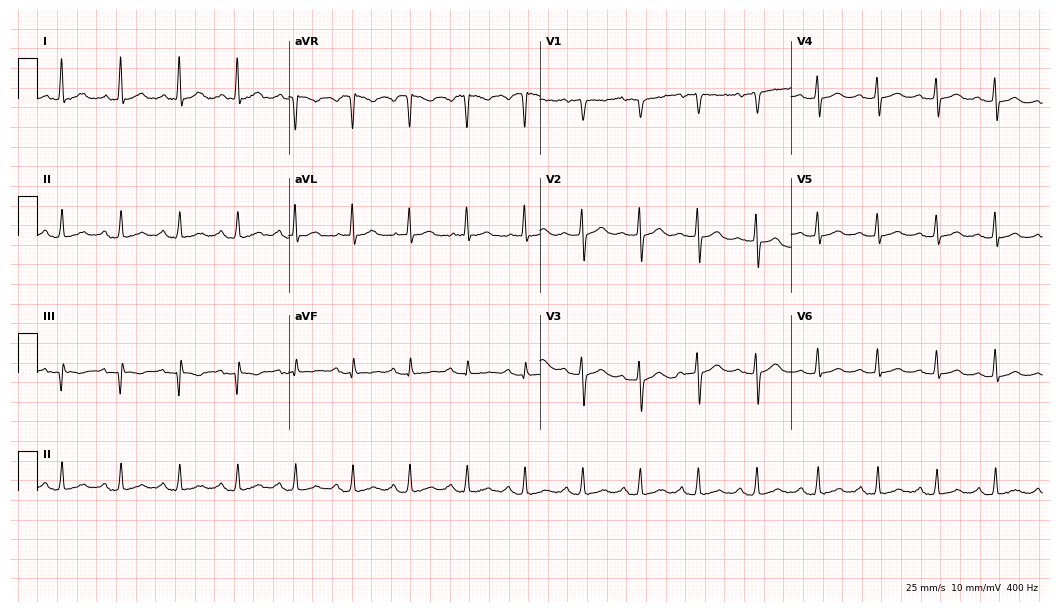
Electrocardiogram (10.2-second recording at 400 Hz), a 46-year-old woman. Of the six screened findings (first-degree AV block, right bundle branch block, left bundle branch block, sinus bradycardia, atrial fibrillation, sinus tachycardia), none is recorded.